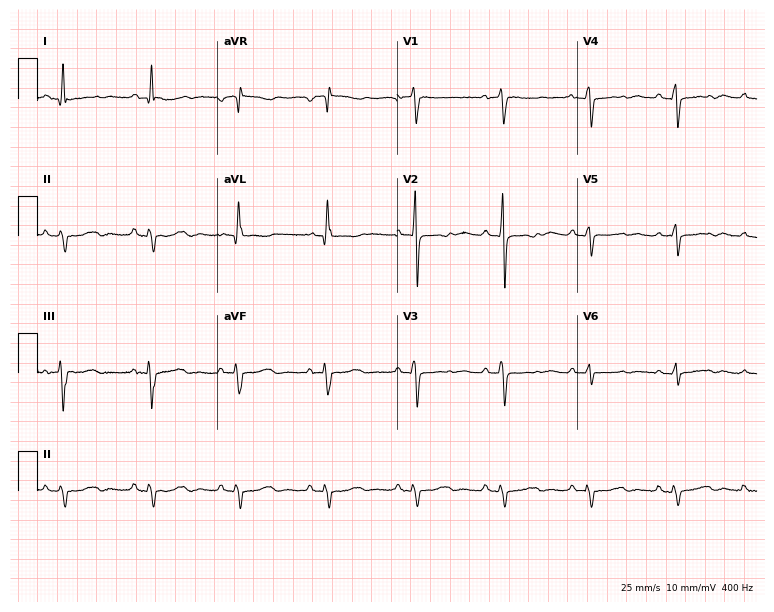
12-lead ECG (7.3-second recording at 400 Hz) from a female, 63 years old. Screened for six findings — first-degree AV block, right bundle branch block (RBBB), left bundle branch block (LBBB), sinus bradycardia, atrial fibrillation (AF), sinus tachycardia — none is recorded. Findings outside these six are not listed.